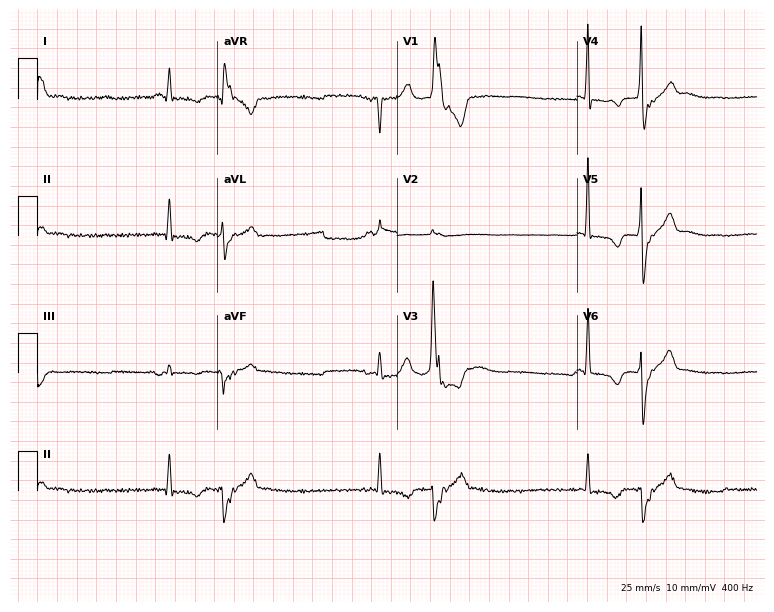
Resting 12-lead electrocardiogram (7.3-second recording at 400 Hz). Patient: a 53-year-old female. None of these six findings is recorded: first-degree AV block, right bundle branch block (RBBB), left bundle branch block (LBBB), sinus bradycardia, atrial fibrillation (AF), sinus tachycardia. Other findings, if any, are not listed.